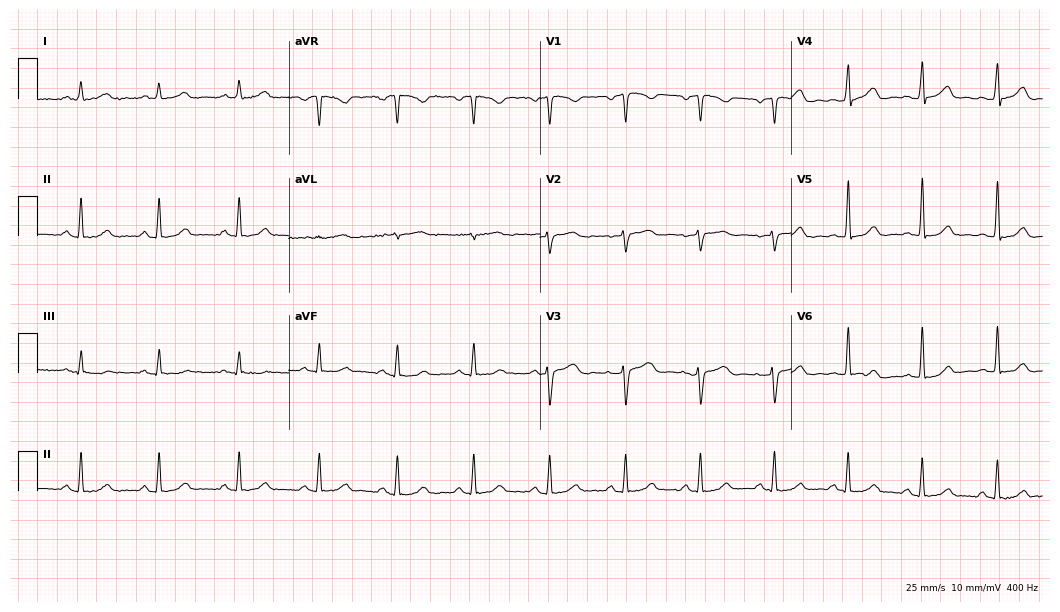
ECG (10.2-second recording at 400 Hz) — a female patient, 41 years old. Labelled as a normal ECG.